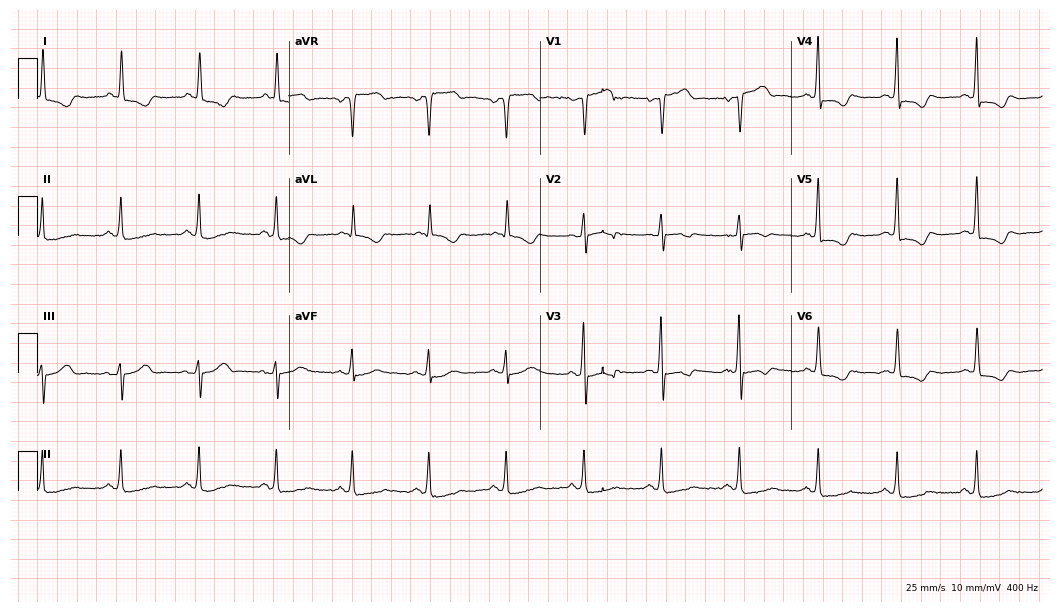
12-lead ECG from a 47-year-old man. Screened for six findings — first-degree AV block, right bundle branch block, left bundle branch block, sinus bradycardia, atrial fibrillation, sinus tachycardia — none is recorded.